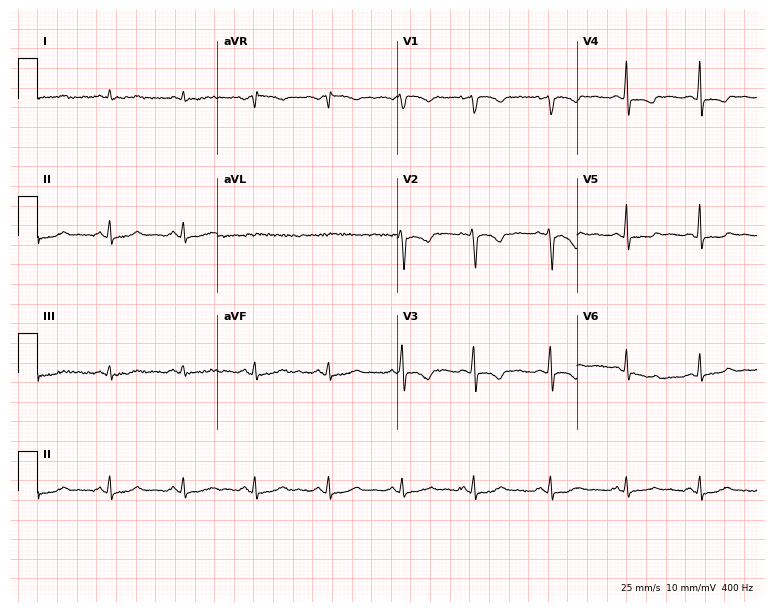
ECG — a female, 45 years old. Screened for six findings — first-degree AV block, right bundle branch block, left bundle branch block, sinus bradycardia, atrial fibrillation, sinus tachycardia — none is recorded. Findings outside these six are not listed.